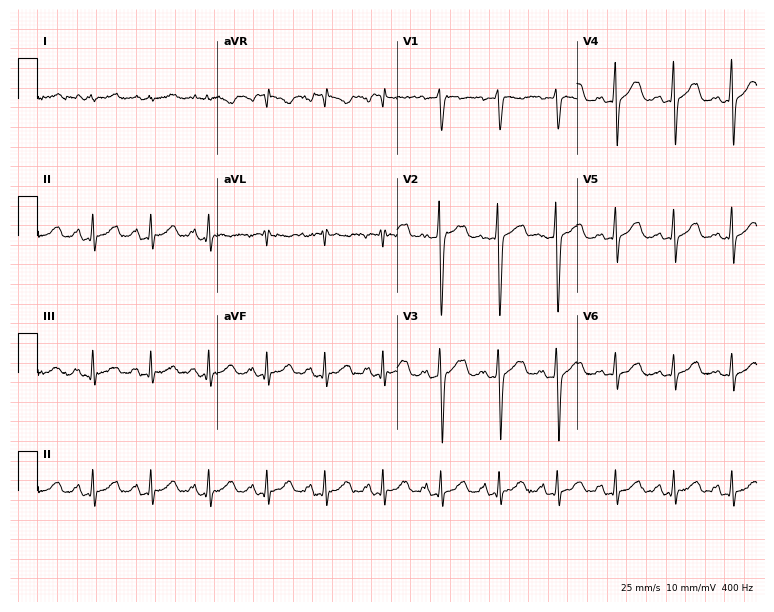
ECG (7.3-second recording at 400 Hz) — a woman, 39 years old. Screened for six findings — first-degree AV block, right bundle branch block, left bundle branch block, sinus bradycardia, atrial fibrillation, sinus tachycardia — none is recorded.